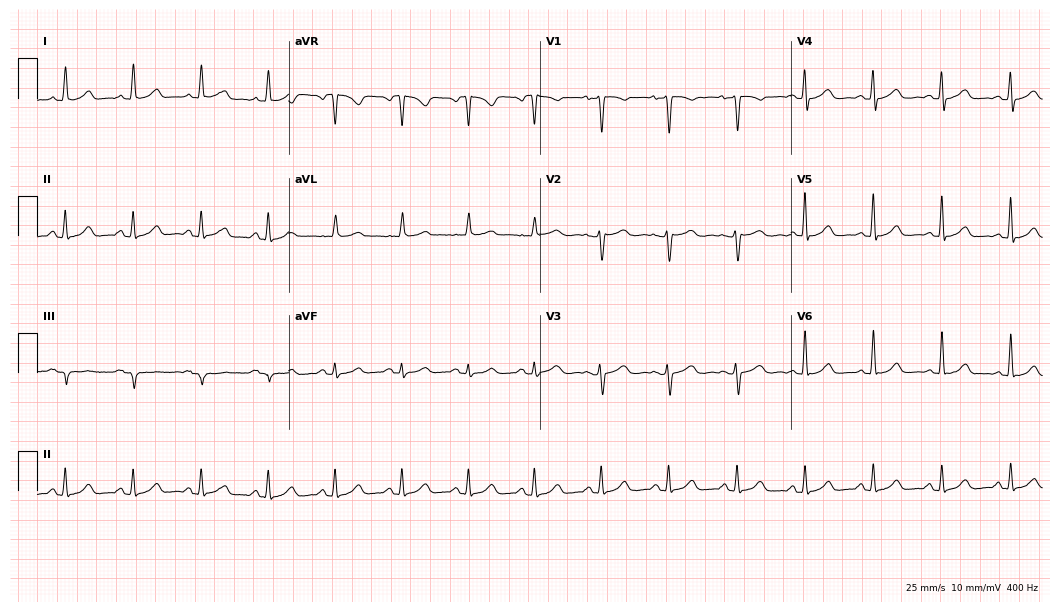
Electrocardiogram (10.2-second recording at 400 Hz), a 55-year-old woman. Overall reading on record: normal ECG.